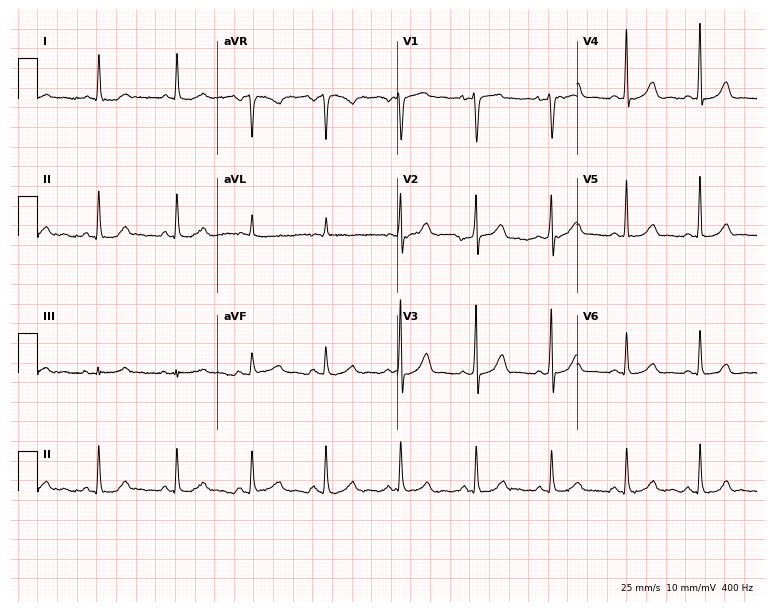
ECG (7.3-second recording at 400 Hz) — a female, 46 years old. Screened for six findings — first-degree AV block, right bundle branch block, left bundle branch block, sinus bradycardia, atrial fibrillation, sinus tachycardia — none is recorded. Only these six findings were labelled.